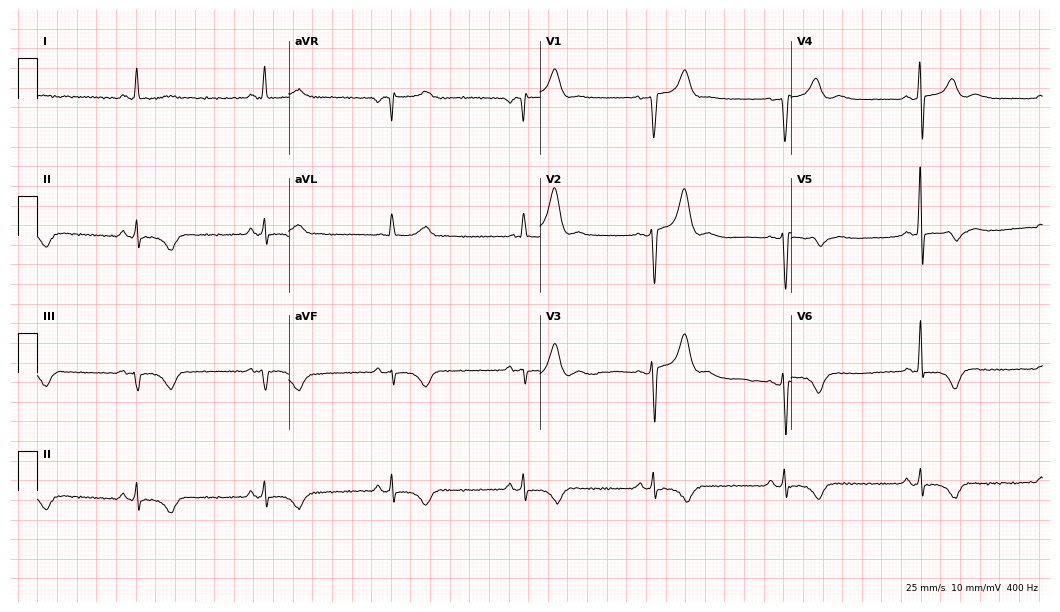
Electrocardiogram, a 66-year-old male patient. Interpretation includes sinus bradycardia (a sinus rate of 50 beats per minute or less).